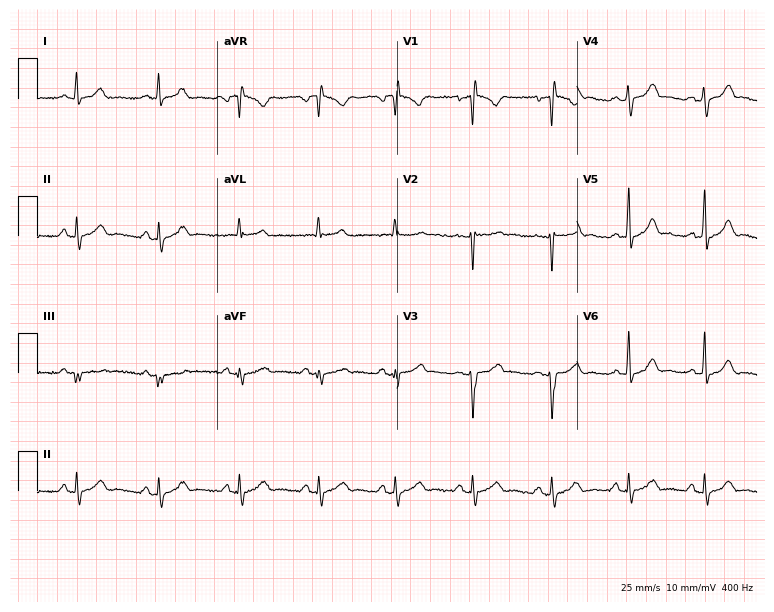
Resting 12-lead electrocardiogram (7.3-second recording at 400 Hz). Patient: a 31-year-old female. Read as a normal ECG.